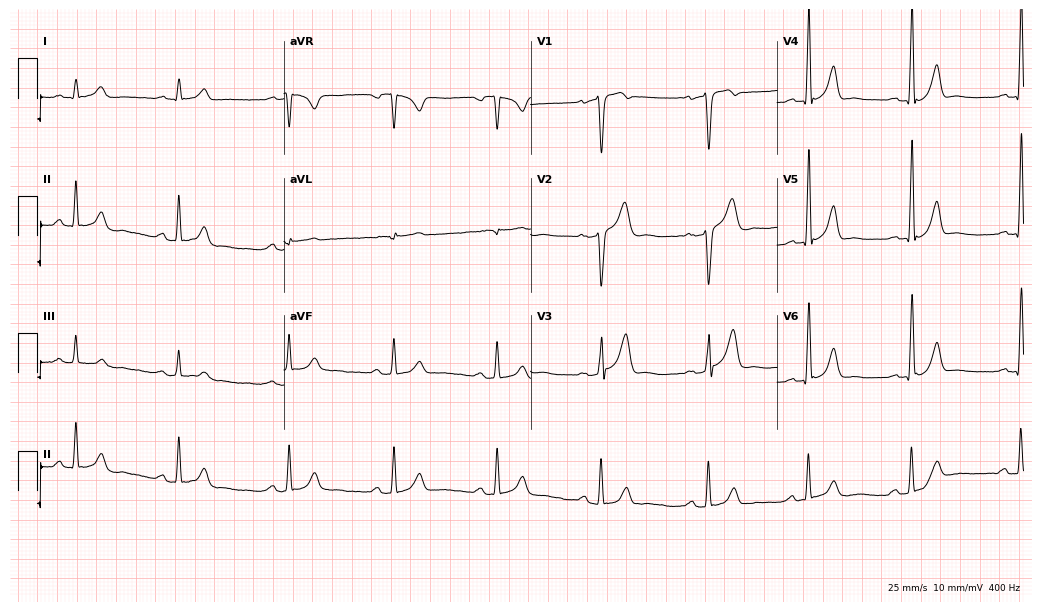
12-lead ECG from a man, 29 years old. Recorded interpretation: within normal limits.